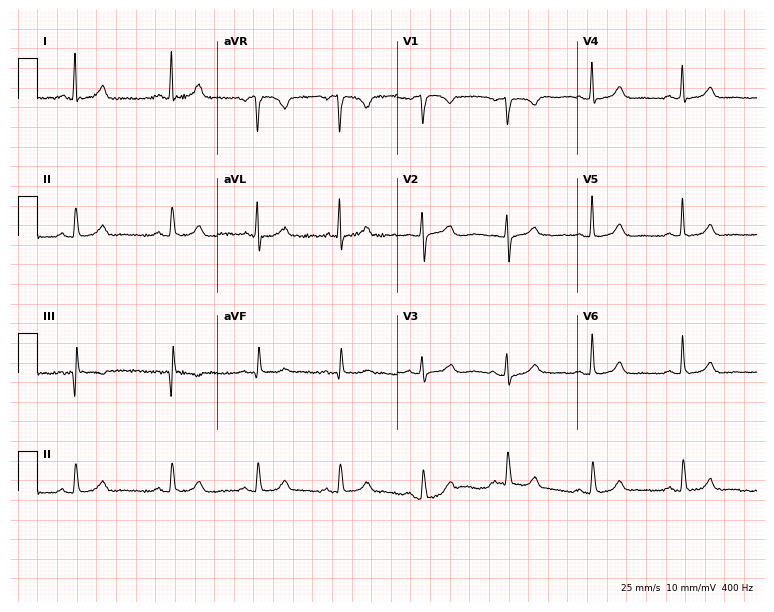
12-lead ECG from a female, 63 years old. Labelled as a normal ECG.